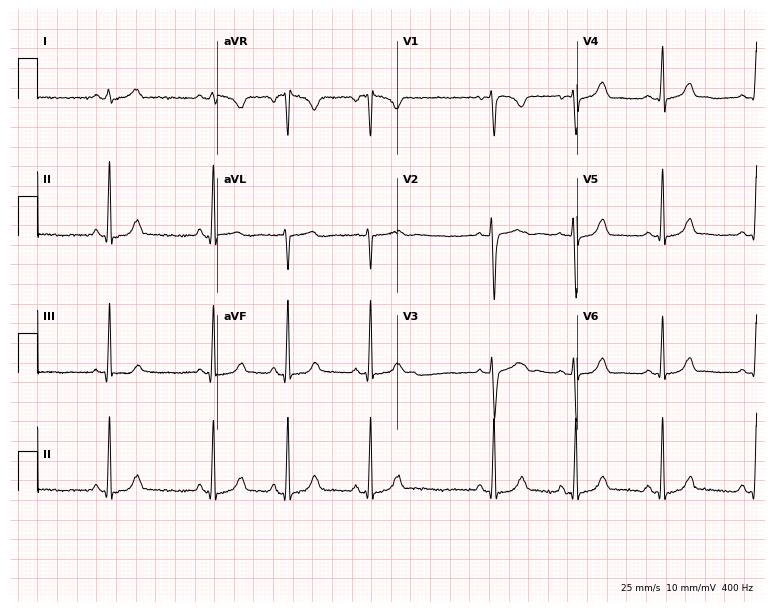
12-lead ECG (7.3-second recording at 400 Hz) from a female, 21 years old. Labelled as a normal ECG.